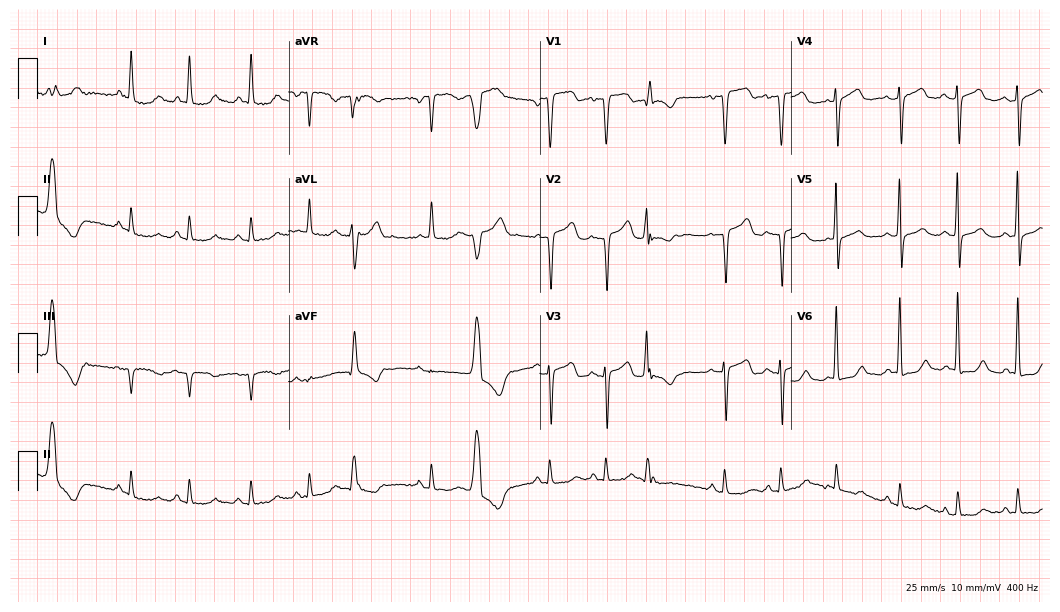
Standard 12-lead ECG recorded from a female patient, 71 years old (10.2-second recording at 400 Hz). None of these six findings is recorded: first-degree AV block, right bundle branch block (RBBB), left bundle branch block (LBBB), sinus bradycardia, atrial fibrillation (AF), sinus tachycardia. Other findings, if any, are not listed.